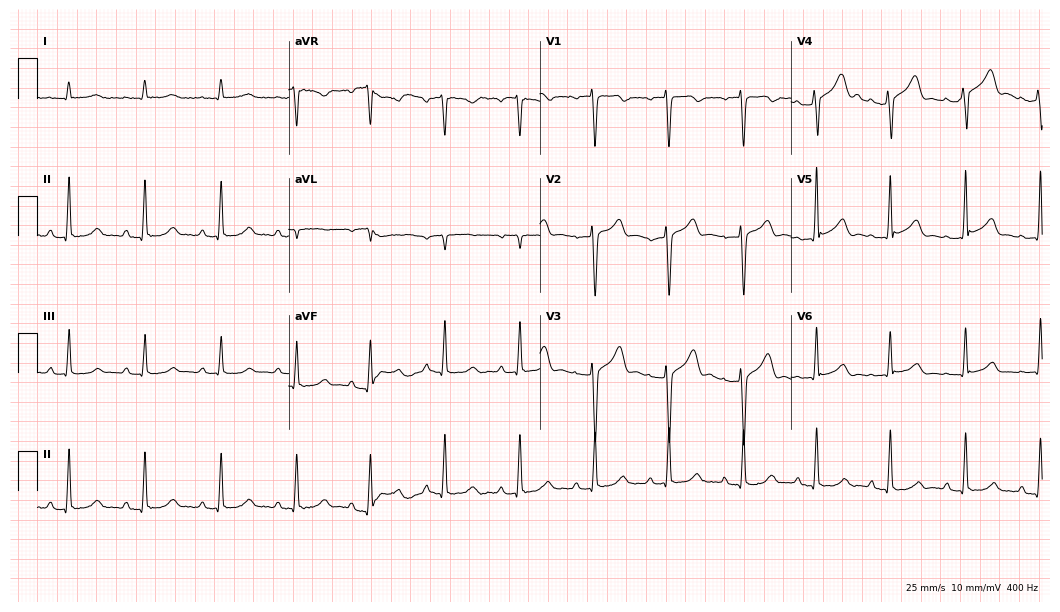
Standard 12-lead ECG recorded from a 77-year-old male patient (10.2-second recording at 400 Hz). Read as a normal ECG.